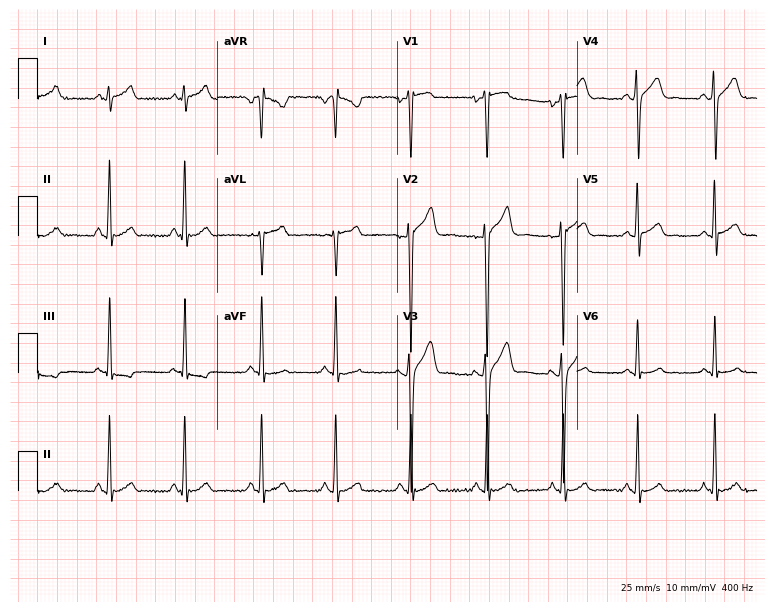
Electrocardiogram (7.3-second recording at 400 Hz), a male, 20 years old. Of the six screened findings (first-degree AV block, right bundle branch block (RBBB), left bundle branch block (LBBB), sinus bradycardia, atrial fibrillation (AF), sinus tachycardia), none is recorded.